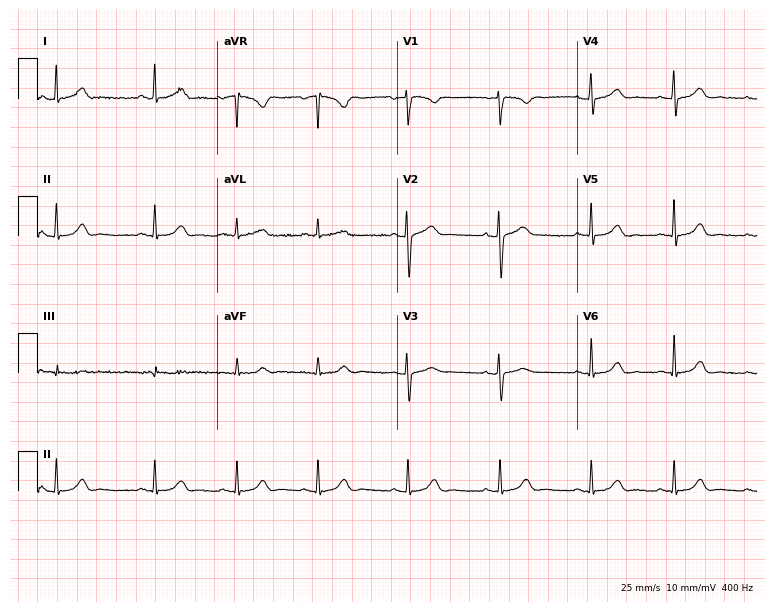
12-lead ECG from a woman, 29 years old (7.3-second recording at 400 Hz). No first-degree AV block, right bundle branch block, left bundle branch block, sinus bradycardia, atrial fibrillation or sinus tachycardia recorded for this tracing. Only these six findings were labelled.